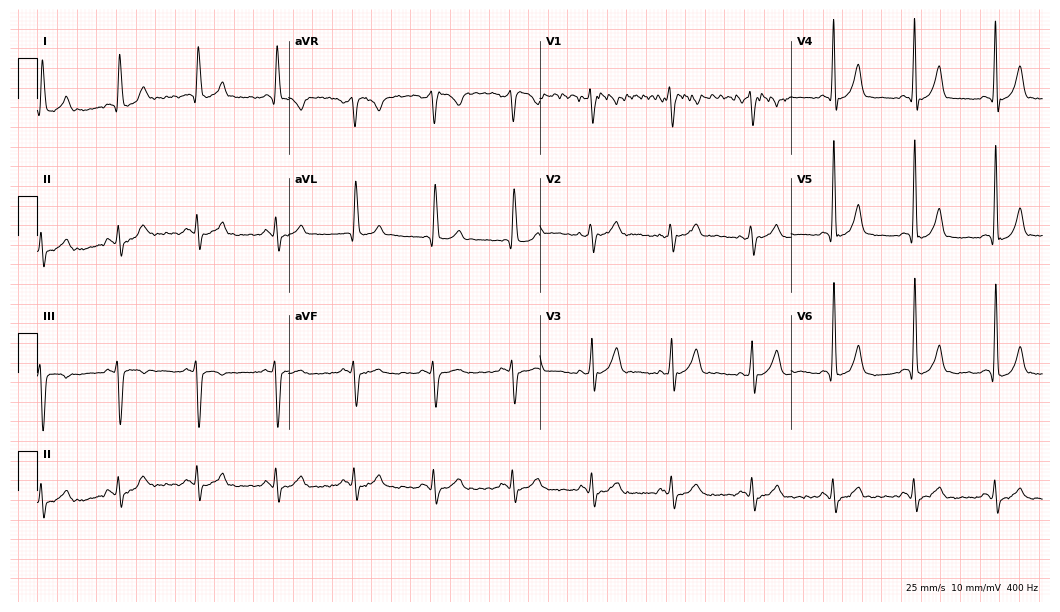
Electrocardiogram, a male, 53 years old. Of the six screened findings (first-degree AV block, right bundle branch block, left bundle branch block, sinus bradycardia, atrial fibrillation, sinus tachycardia), none is recorded.